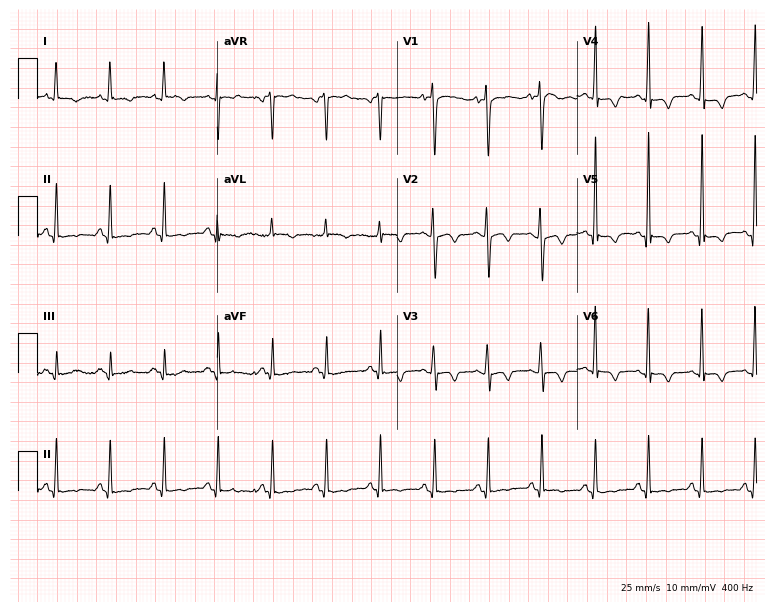
Resting 12-lead electrocardiogram (7.3-second recording at 400 Hz). Patient: a female, 20 years old. The tracing shows sinus tachycardia (a sinus rate of 100 beats per minute or more).